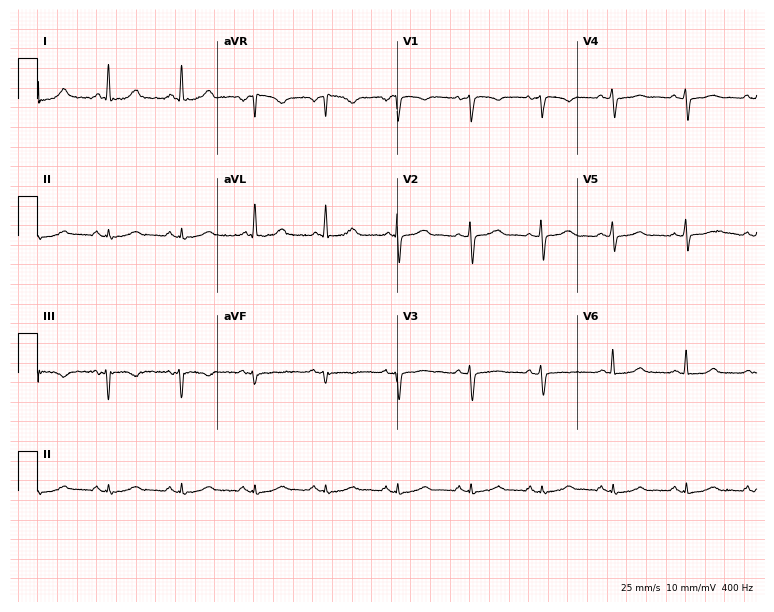
12-lead ECG from a woman, 59 years old. No first-degree AV block, right bundle branch block (RBBB), left bundle branch block (LBBB), sinus bradycardia, atrial fibrillation (AF) or sinus tachycardia recorded for this tracing.